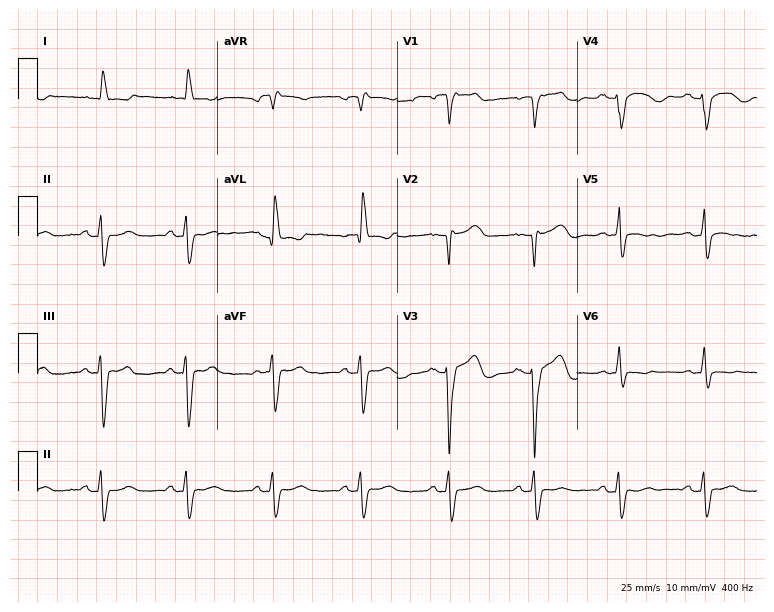
12-lead ECG from a male patient, 81 years old. Shows left bundle branch block.